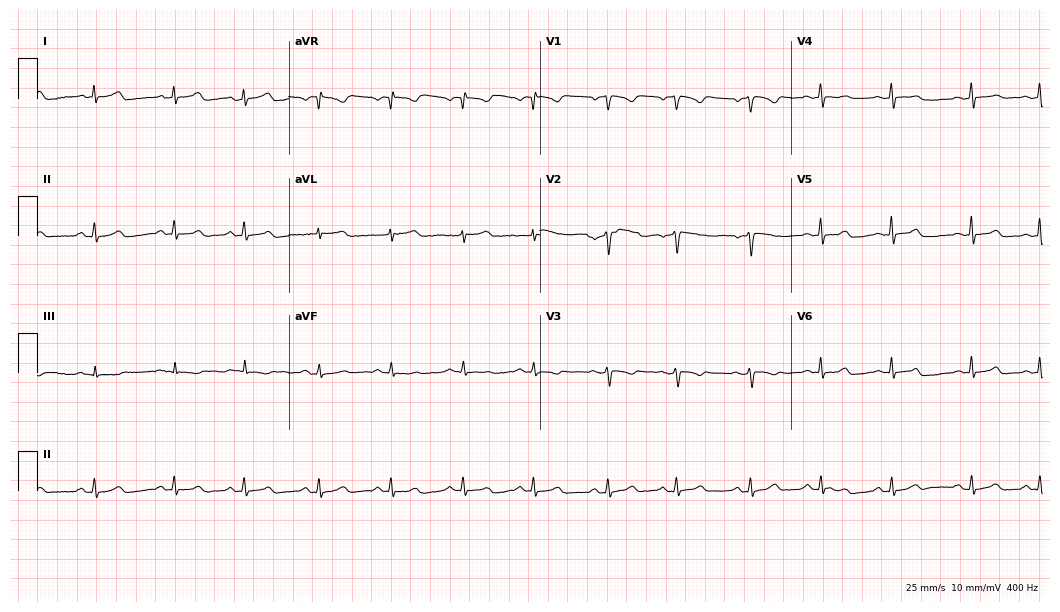
Standard 12-lead ECG recorded from a female, 40 years old. None of these six findings is recorded: first-degree AV block, right bundle branch block, left bundle branch block, sinus bradycardia, atrial fibrillation, sinus tachycardia.